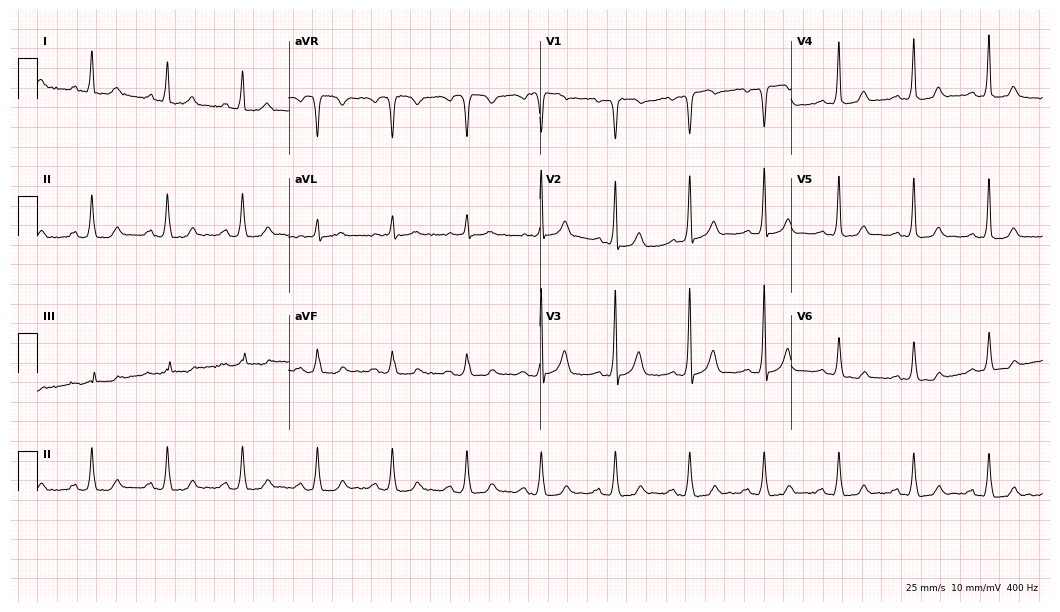
Resting 12-lead electrocardiogram. Patient: a 78-year-old woman. Read as a normal ECG.